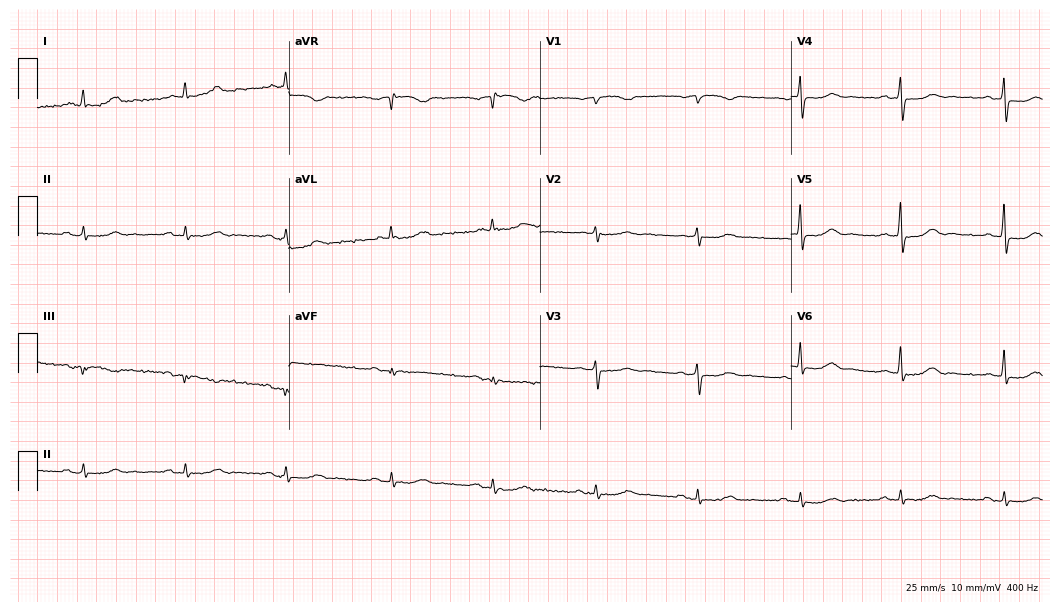
Electrocardiogram (10.2-second recording at 400 Hz), a female, 76 years old. Of the six screened findings (first-degree AV block, right bundle branch block, left bundle branch block, sinus bradycardia, atrial fibrillation, sinus tachycardia), none is recorded. Only these six findings were labelled.